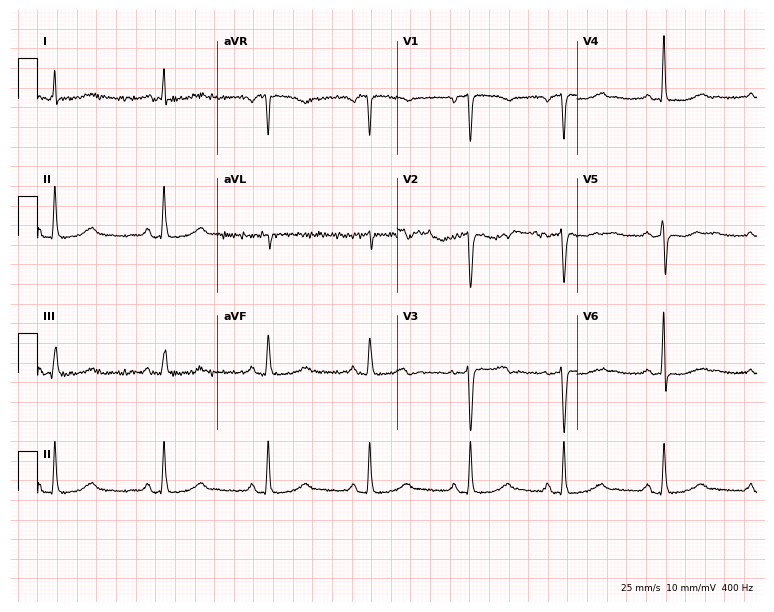
ECG (7.3-second recording at 400 Hz) — a 52-year-old female patient. Screened for six findings — first-degree AV block, right bundle branch block (RBBB), left bundle branch block (LBBB), sinus bradycardia, atrial fibrillation (AF), sinus tachycardia — none is recorded. Findings outside these six are not listed.